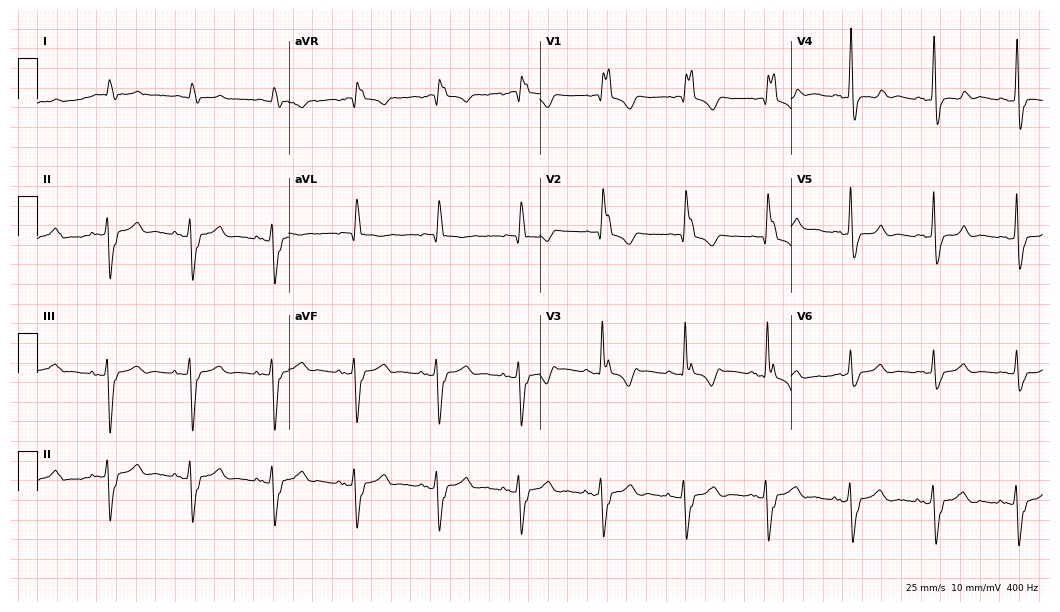
12-lead ECG from a man, 80 years old. Shows right bundle branch block.